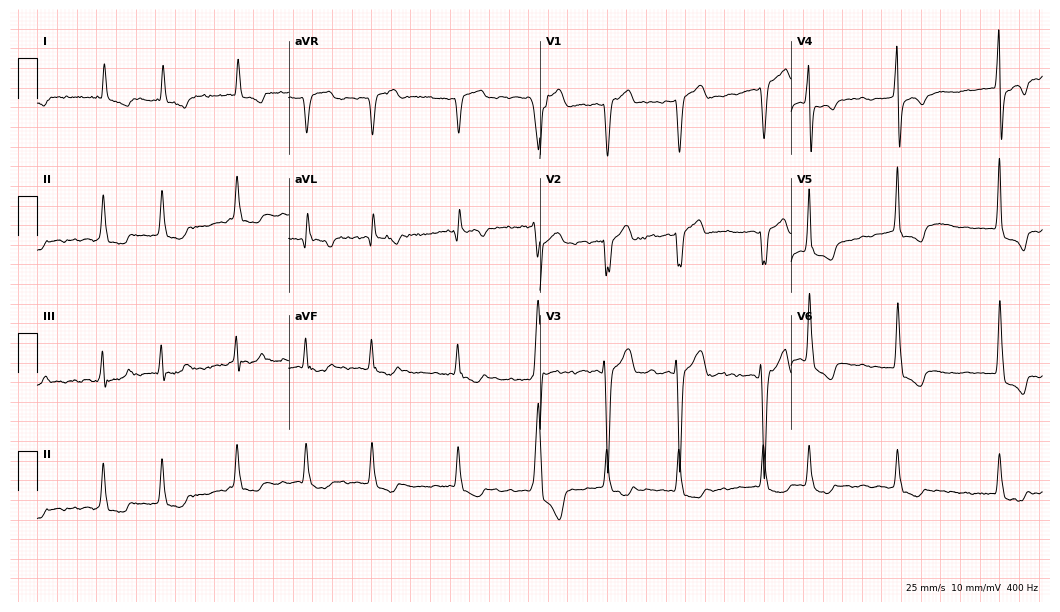
Electrocardiogram (10.2-second recording at 400 Hz), a male, 75 years old. Interpretation includes atrial fibrillation (AF).